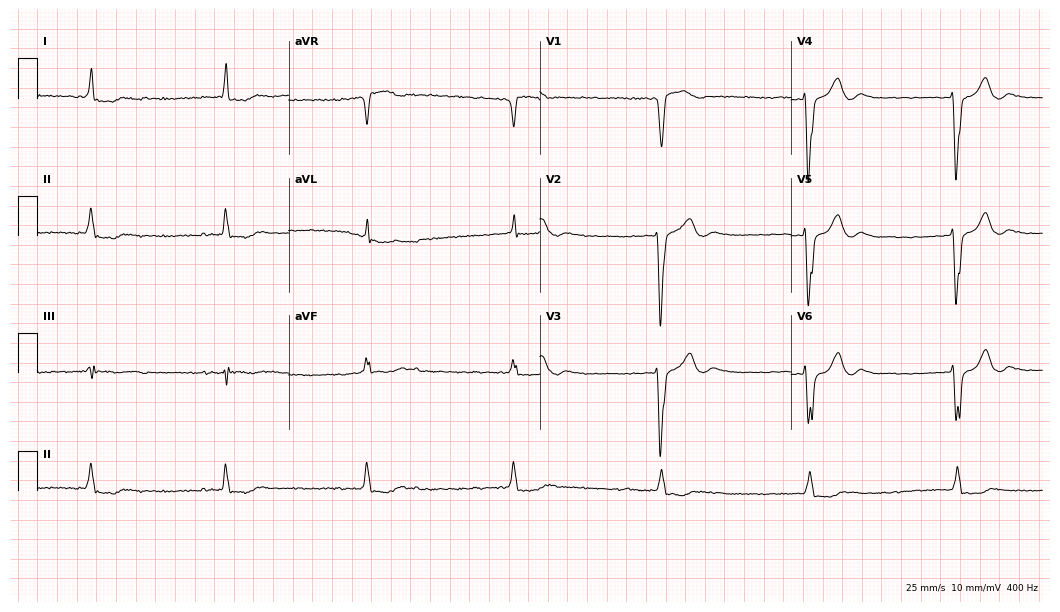
ECG — an 82-year-old male patient. Findings include left bundle branch block (LBBB), sinus bradycardia (a sinus rate of 50 beats per minute or less).